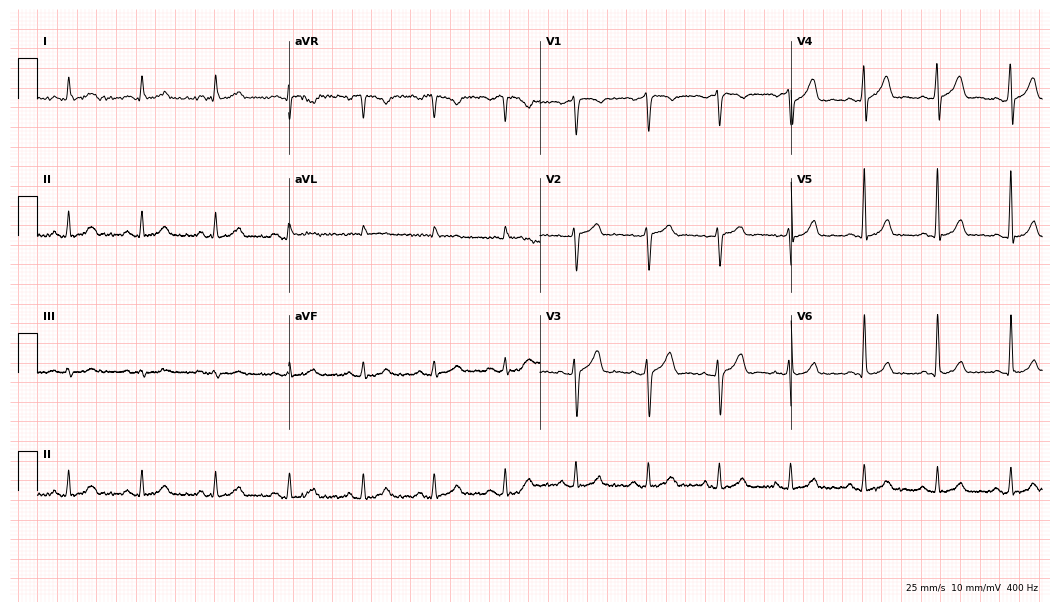
Standard 12-lead ECG recorded from a 56-year-old male. Read as a normal ECG.